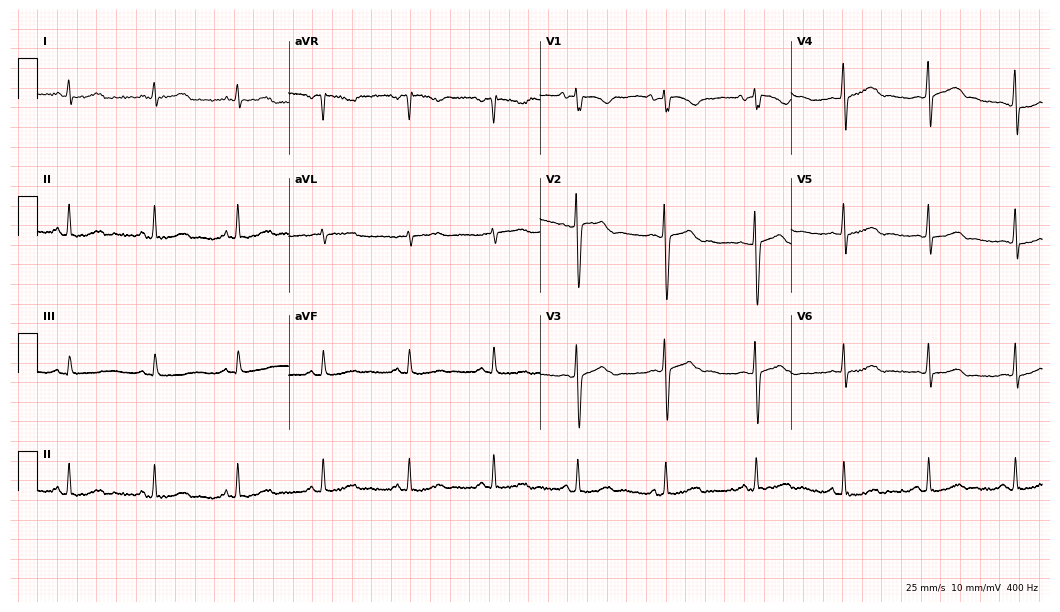
12-lead ECG from a 59-year-old female patient (10.2-second recording at 400 Hz). No first-degree AV block, right bundle branch block (RBBB), left bundle branch block (LBBB), sinus bradycardia, atrial fibrillation (AF) or sinus tachycardia recorded for this tracing. Findings outside these six are not listed.